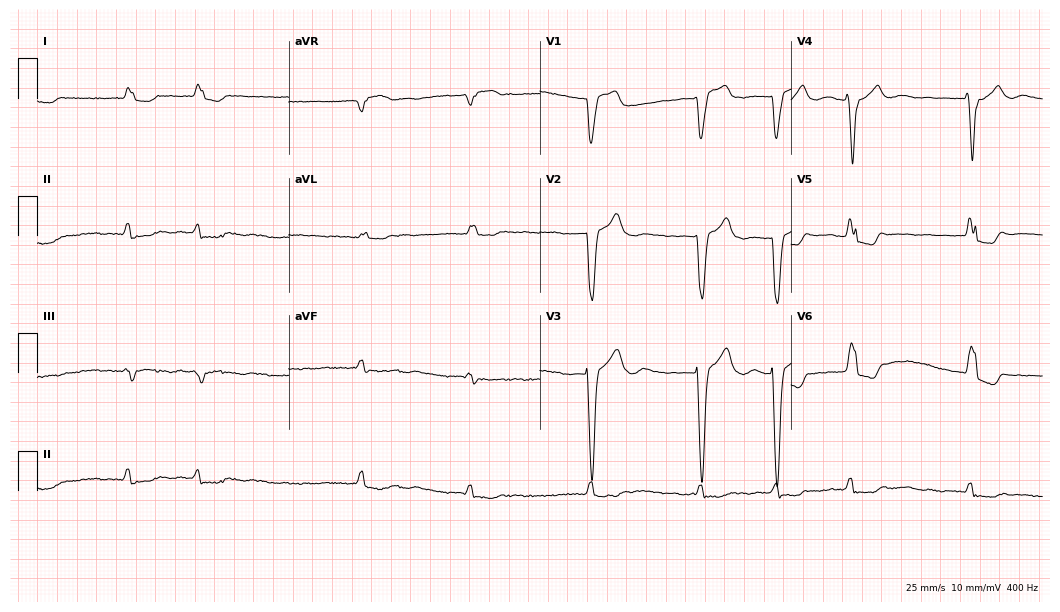
Resting 12-lead electrocardiogram (10.2-second recording at 400 Hz). Patient: a woman, 80 years old. The tracing shows left bundle branch block, atrial fibrillation.